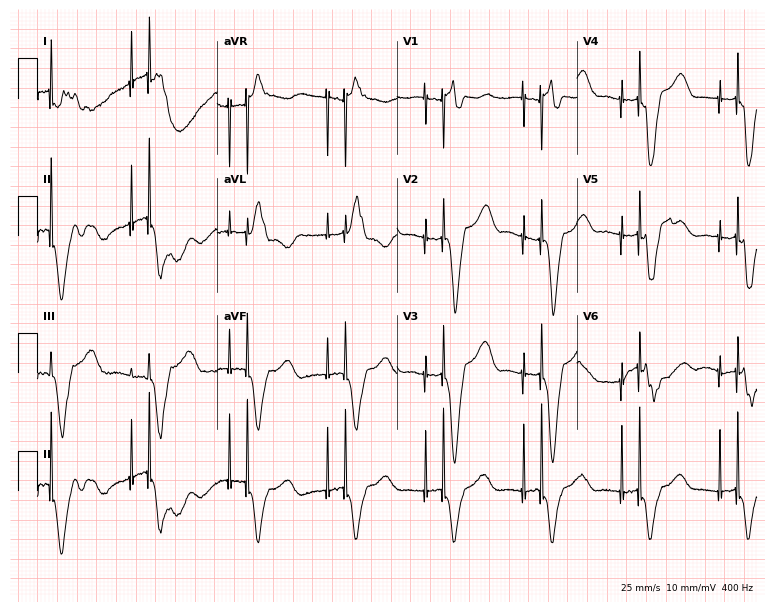
12-lead ECG (7.3-second recording at 400 Hz) from a 70-year-old female. Screened for six findings — first-degree AV block, right bundle branch block (RBBB), left bundle branch block (LBBB), sinus bradycardia, atrial fibrillation (AF), sinus tachycardia — none is recorded. Only these six findings were labelled.